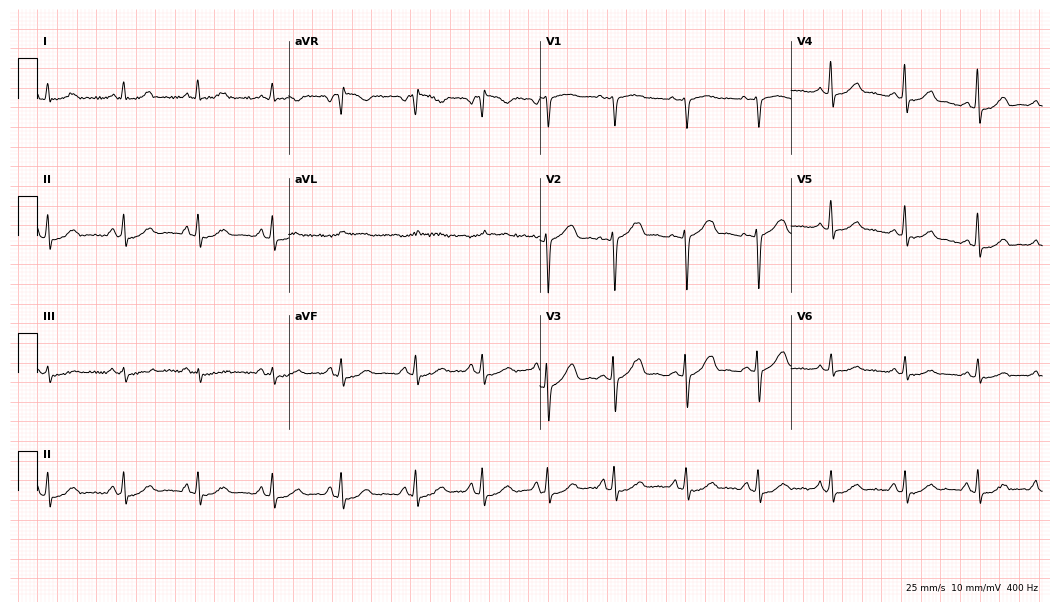
12-lead ECG (10.2-second recording at 400 Hz) from a 36-year-old woman. Labelled as a normal ECG.